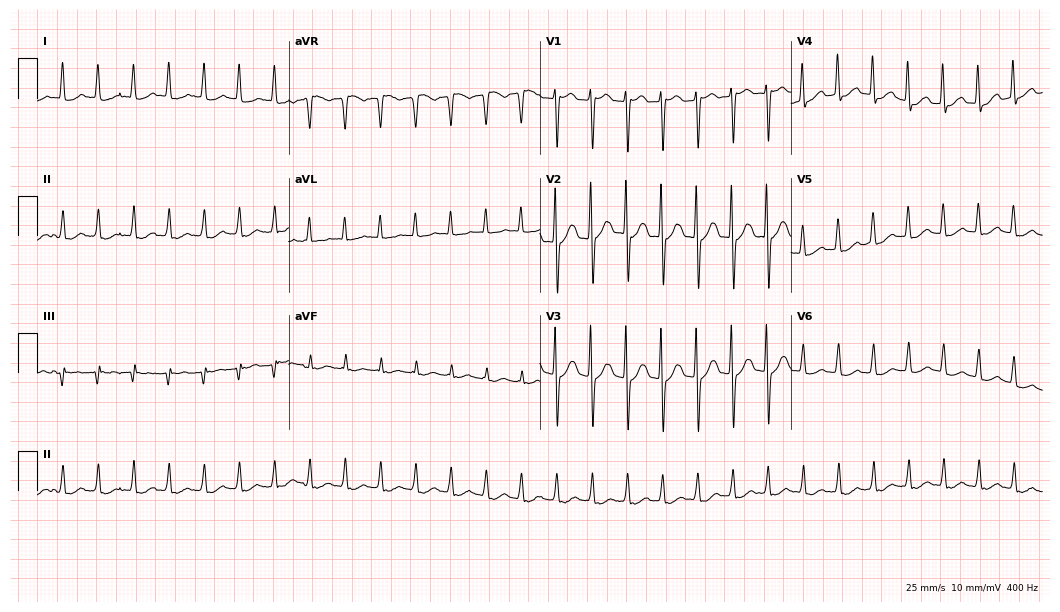
12-lead ECG from a 74-year-old woman. Findings include atrial fibrillation (AF), sinus tachycardia (a sinus rate of 100 beats per minute or more).